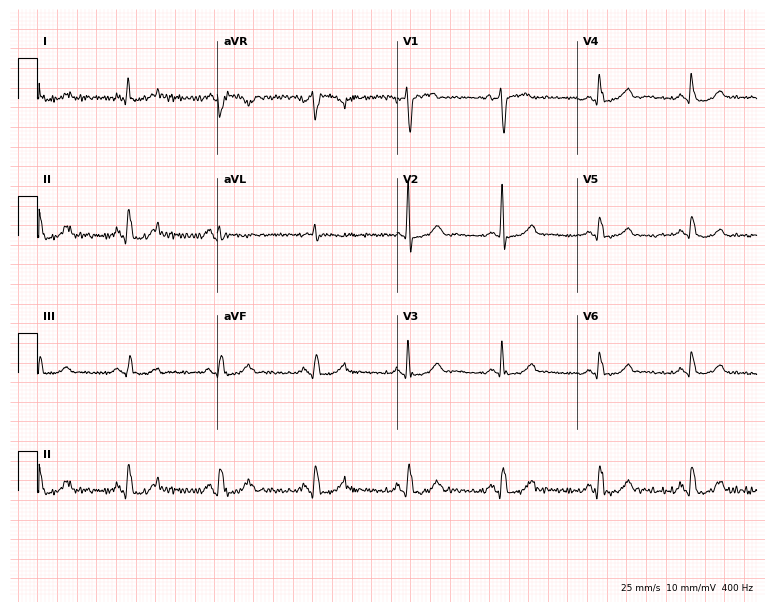
Resting 12-lead electrocardiogram. Patient: a 51-year-old female. None of these six findings is recorded: first-degree AV block, right bundle branch block (RBBB), left bundle branch block (LBBB), sinus bradycardia, atrial fibrillation (AF), sinus tachycardia. Only these six findings were labelled.